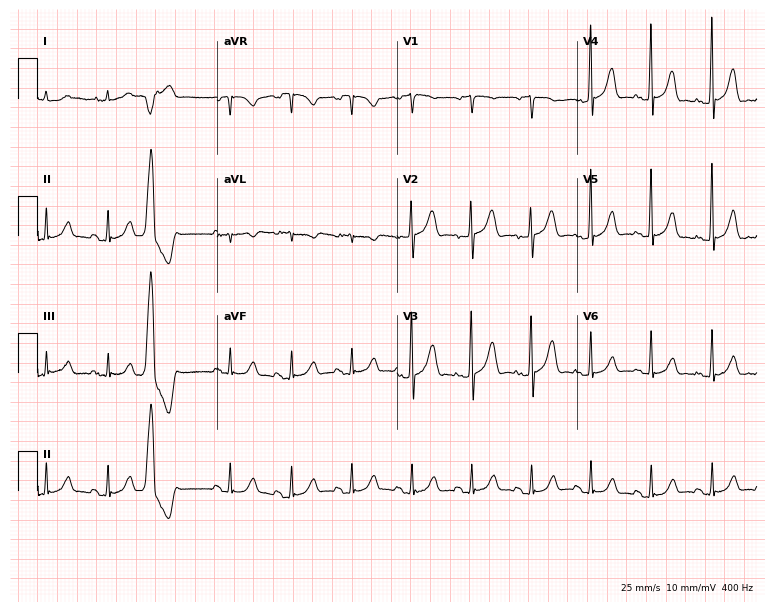
Electrocardiogram, a 65-year-old male. Of the six screened findings (first-degree AV block, right bundle branch block, left bundle branch block, sinus bradycardia, atrial fibrillation, sinus tachycardia), none is recorded.